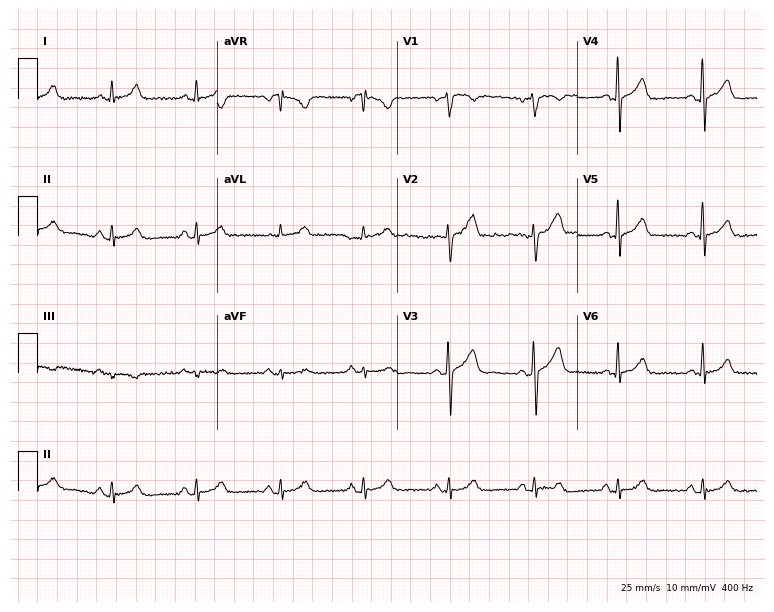
ECG (7.3-second recording at 400 Hz) — a male, 42 years old. Labelled as a normal ECG.